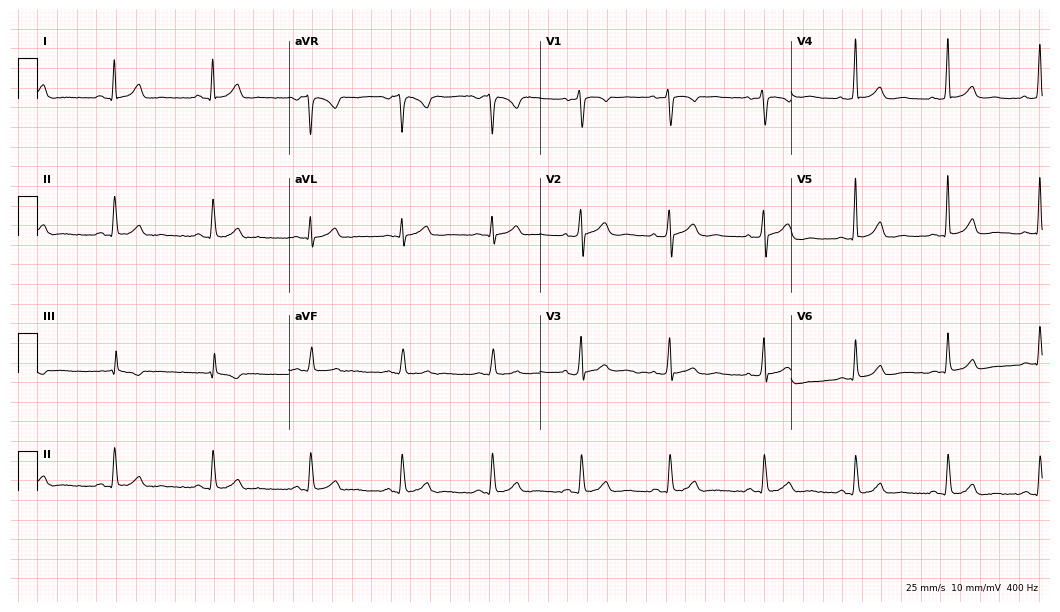
Standard 12-lead ECG recorded from a woman, 48 years old (10.2-second recording at 400 Hz). Read as a normal ECG.